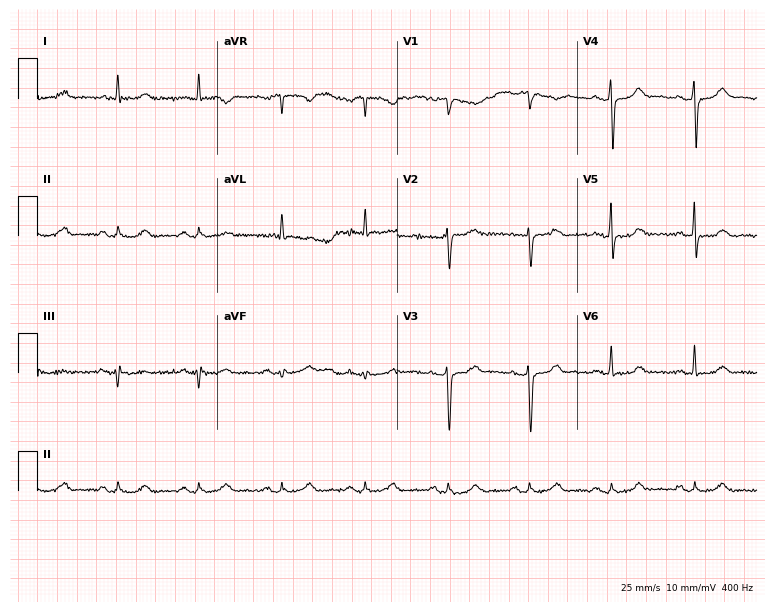
12-lead ECG from a 68-year-old man (7.3-second recording at 400 Hz). No first-degree AV block, right bundle branch block (RBBB), left bundle branch block (LBBB), sinus bradycardia, atrial fibrillation (AF) or sinus tachycardia recorded for this tracing.